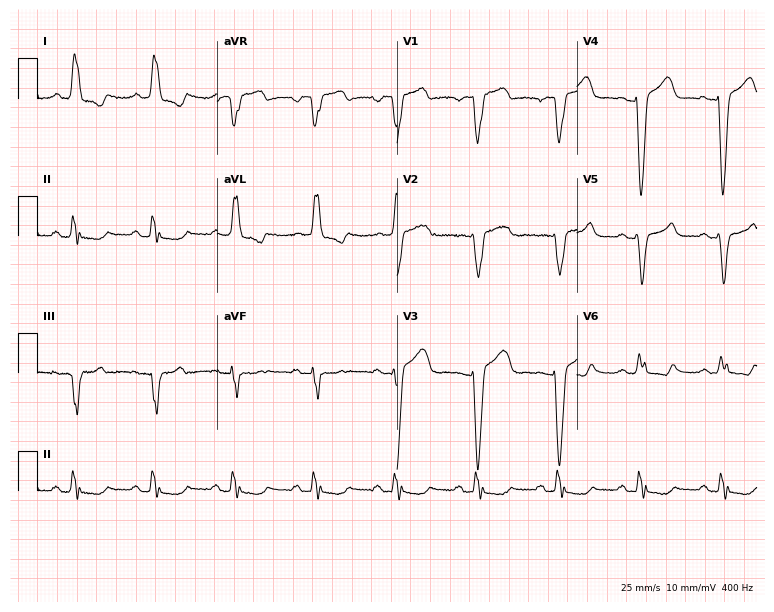
Standard 12-lead ECG recorded from a female, 76 years old. None of these six findings is recorded: first-degree AV block, right bundle branch block, left bundle branch block, sinus bradycardia, atrial fibrillation, sinus tachycardia.